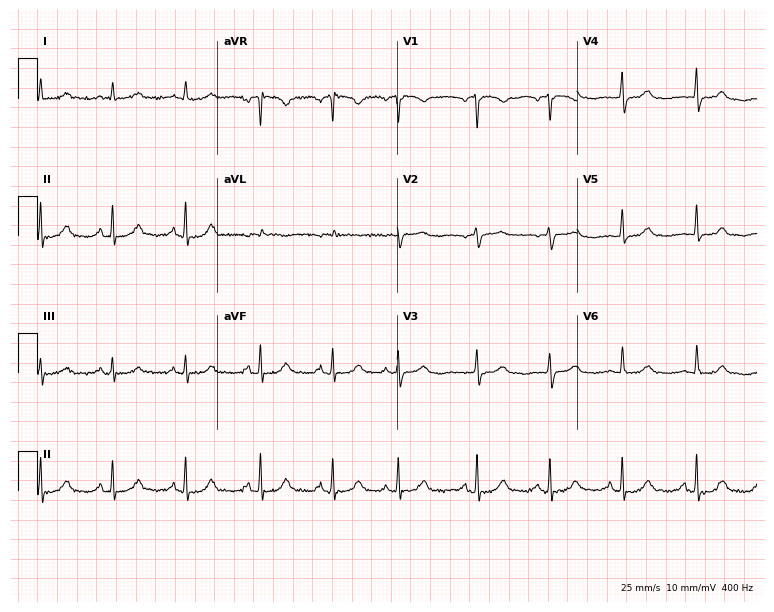
Resting 12-lead electrocardiogram (7.3-second recording at 400 Hz). Patient: a female, 61 years old. Read as a normal ECG.